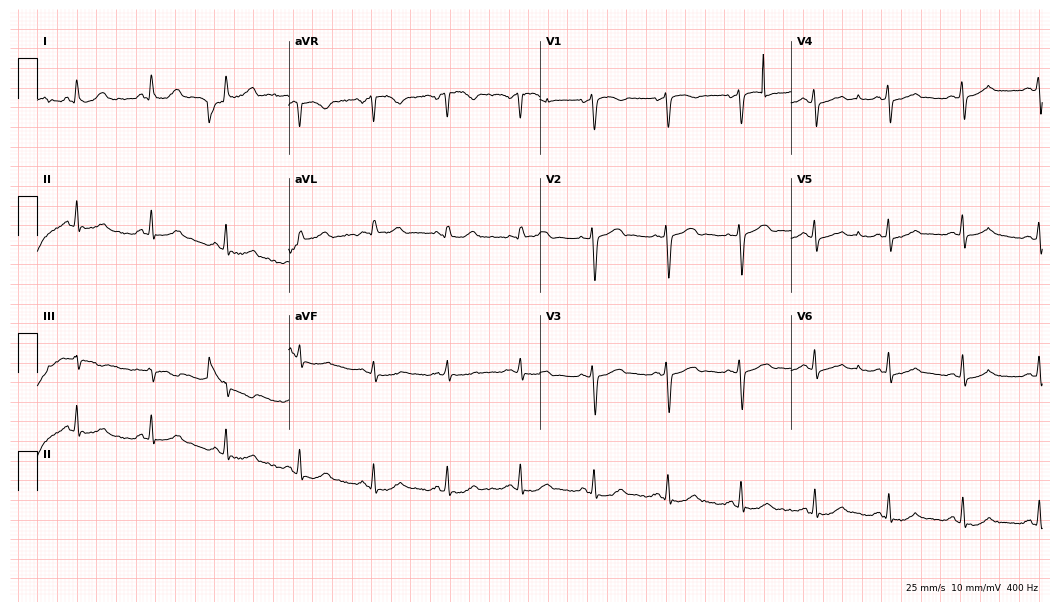
ECG — a female patient, 64 years old. Screened for six findings — first-degree AV block, right bundle branch block (RBBB), left bundle branch block (LBBB), sinus bradycardia, atrial fibrillation (AF), sinus tachycardia — none is recorded.